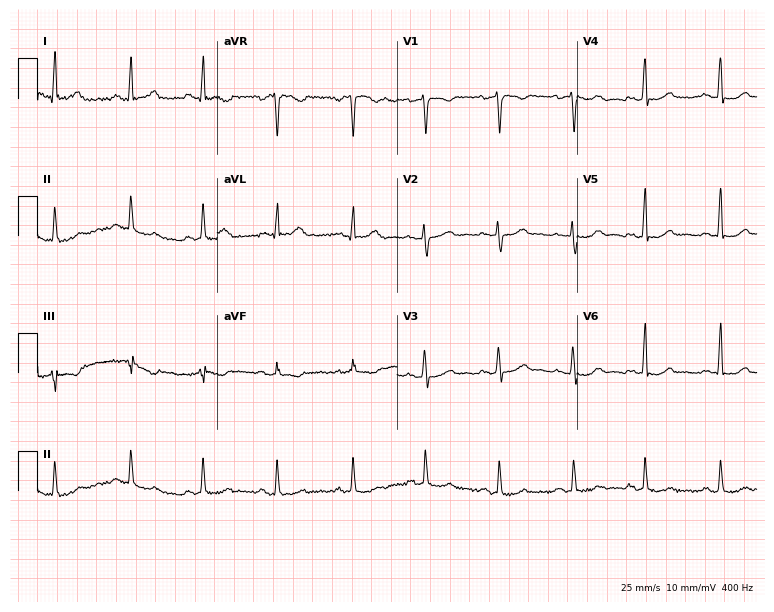
ECG (7.3-second recording at 400 Hz) — a female, 47 years old. Labelled as a normal ECG.